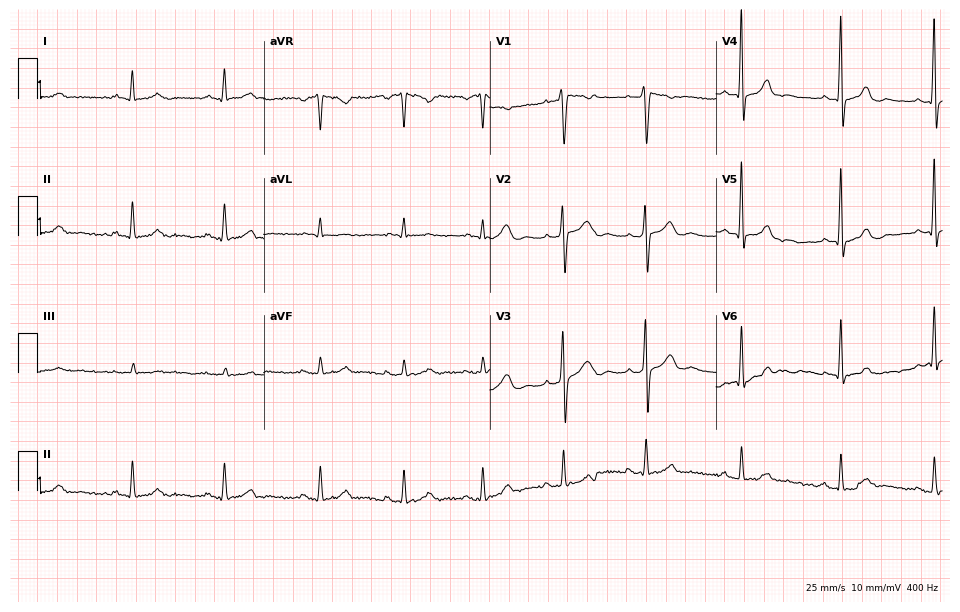
Electrocardiogram (9.2-second recording at 400 Hz), a 34-year-old man. Overall reading on record: normal ECG.